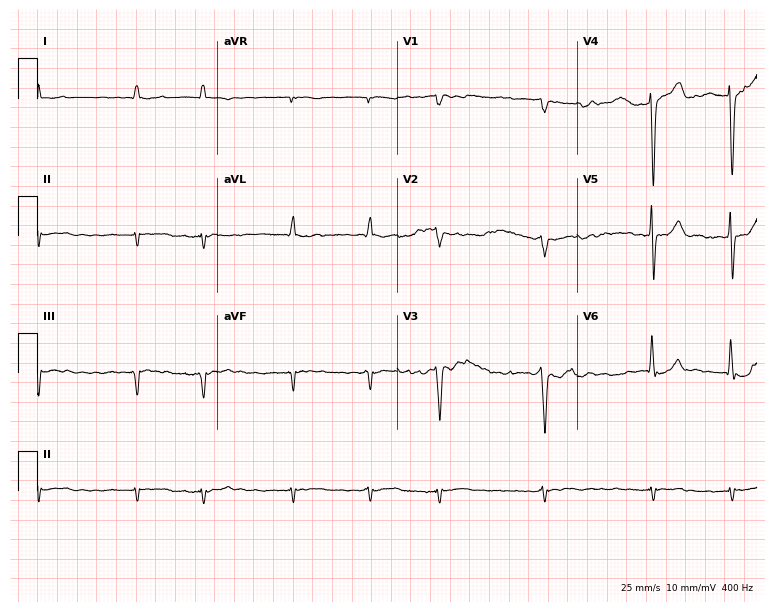
Electrocardiogram (7.3-second recording at 400 Hz), an 83-year-old male patient. Interpretation includes atrial fibrillation.